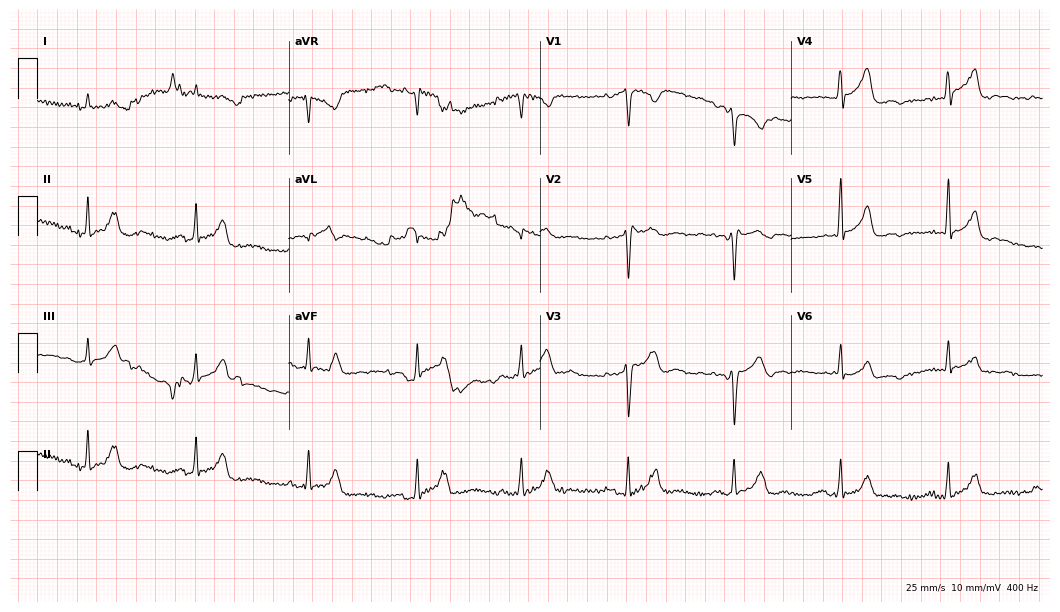
12-lead ECG from a 59-year-old man. Labelled as a normal ECG.